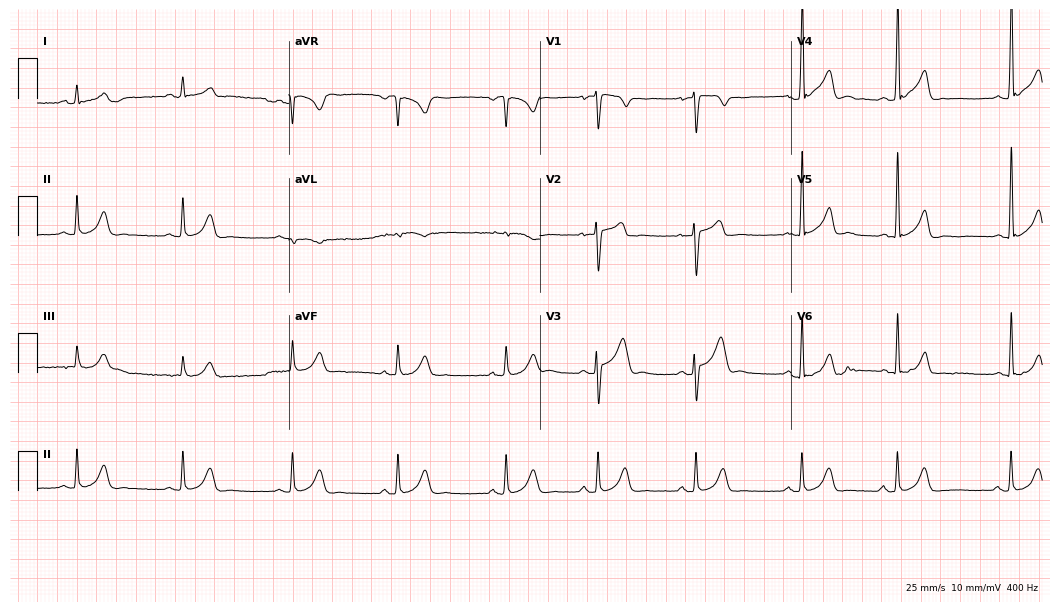
Resting 12-lead electrocardiogram (10.2-second recording at 400 Hz). Patient: a 24-year-old male. Read as a normal ECG.